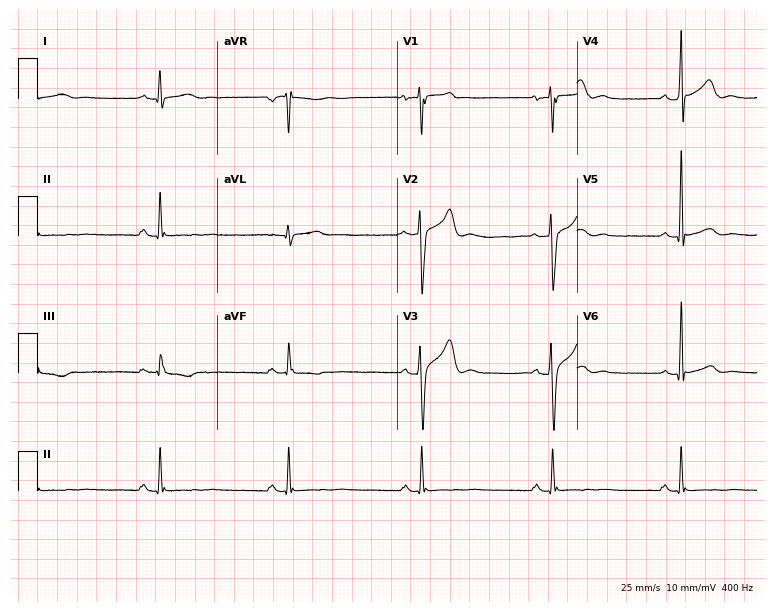
Standard 12-lead ECG recorded from a man, 32 years old (7.3-second recording at 400 Hz). The tracing shows sinus bradycardia (a sinus rate of 50 beats per minute or less).